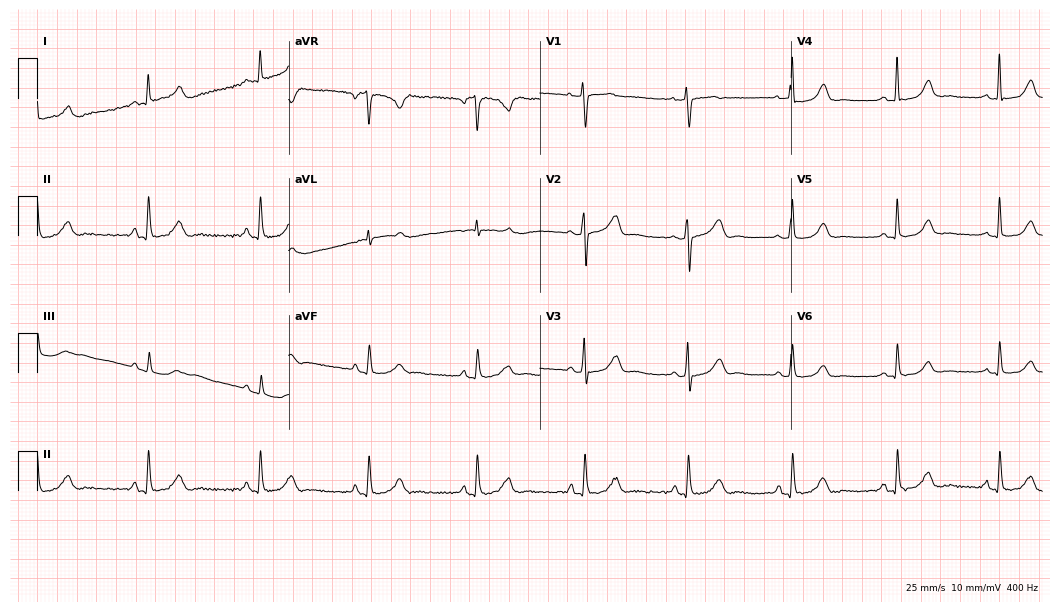
ECG (10.2-second recording at 400 Hz) — a female patient, 57 years old. Labelled as a normal ECG.